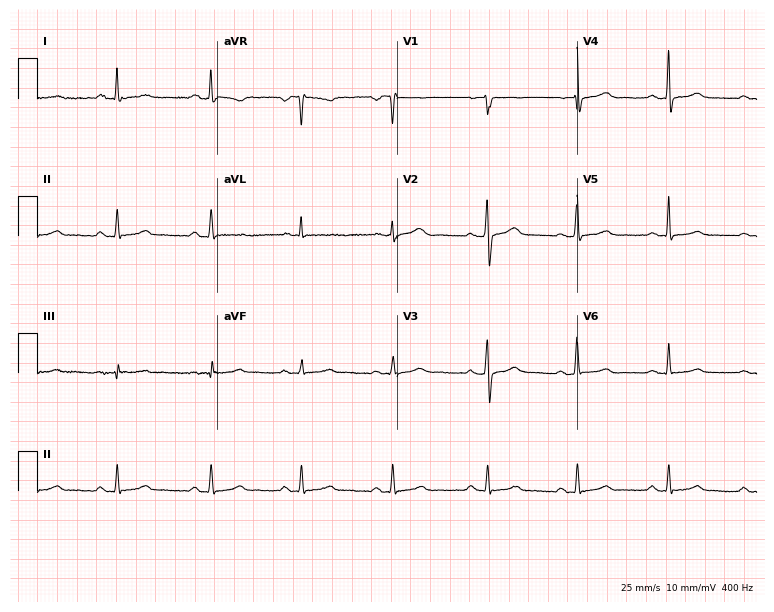
12-lead ECG from a woman, 33 years old. Recorded interpretation: within normal limits.